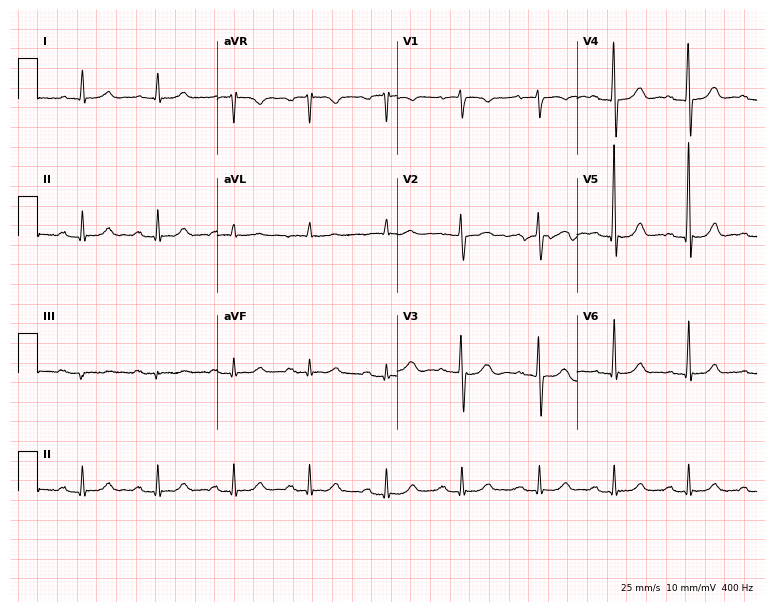
Standard 12-lead ECG recorded from a man, 80 years old (7.3-second recording at 400 Hz). The tracing shows first-degree AV block.